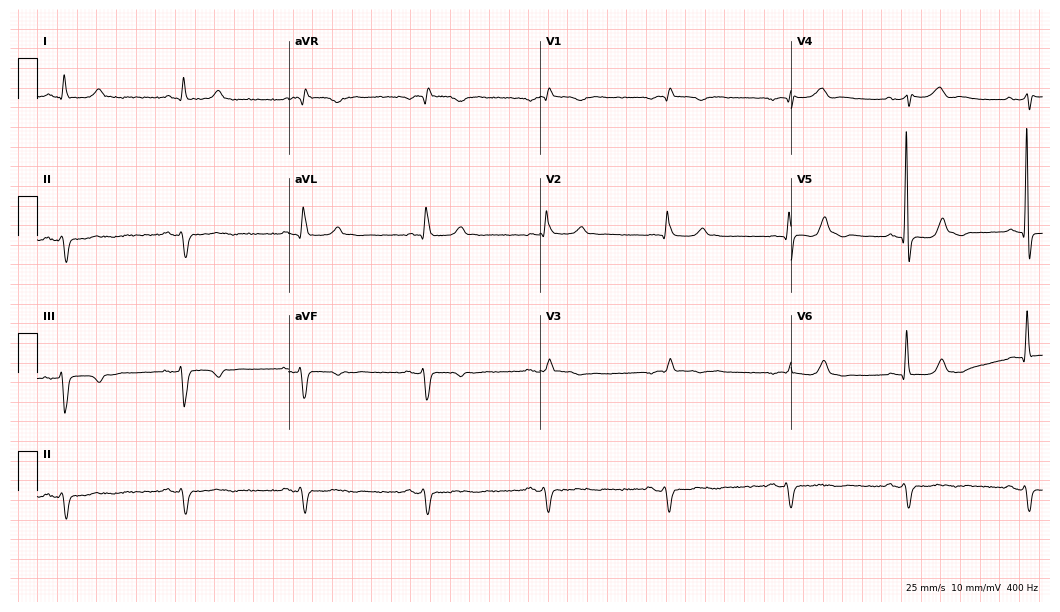
Standard 12-lead ECG recorded from a man, 59 years old (10.2-second recording at 400 Hz). None of these six findings is recorded: first-degree AV block, right bundle branch block (RBBB), left bundle branch block (LBBB), sinus bradycardia, atrial fibrillation (AF), sinus tachycardia.